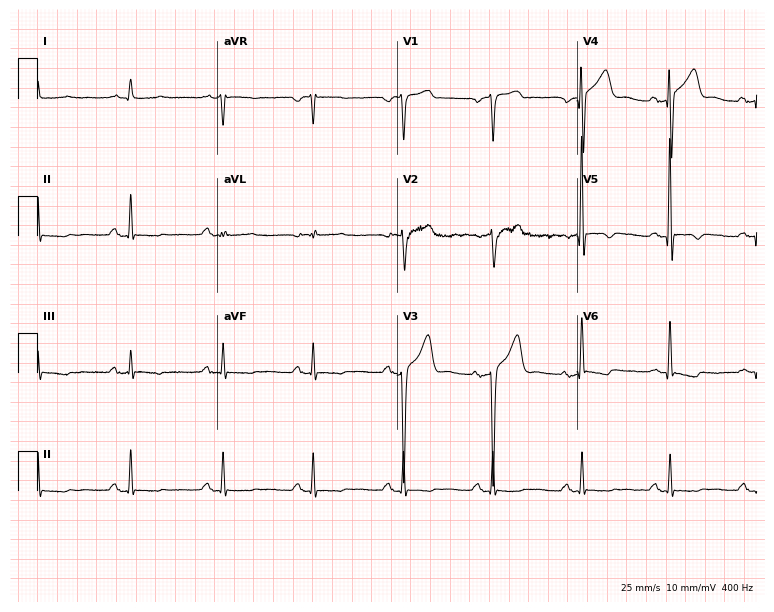
Standard 12-lead ECG recorded from a male patient, 54 years old (7.3-second recording at 400 Hz). None of these six findings is recorded: first-degree AV block, right bundle branch block (RBBB), left bundle branch block (LBBB), sinus bradycardia, atrial fibrillation (AF), sinus tachycardia. Only these six findings were labelled.